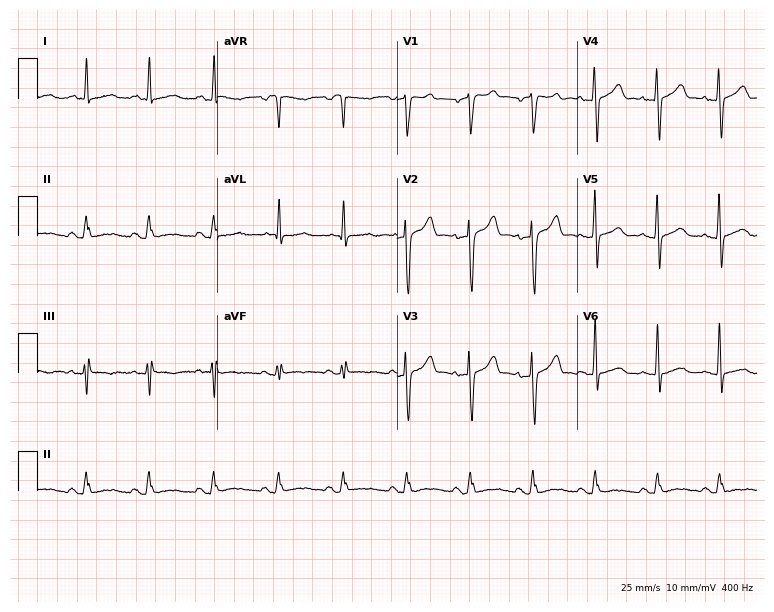
Electrocardiogram, a 52-year-old male patient. Overall reading on record: normal ECG.